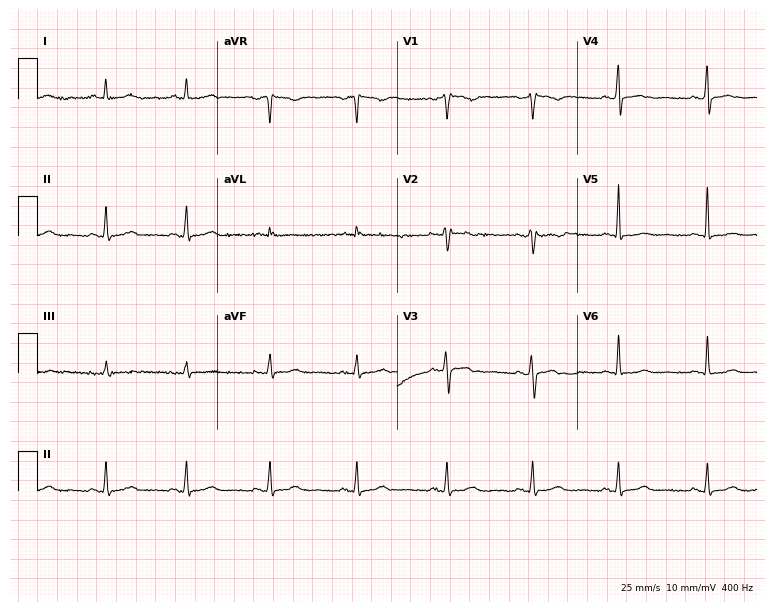
12-lead ECG from a 50-year-old female. Recorded interpretation: within normal limits.